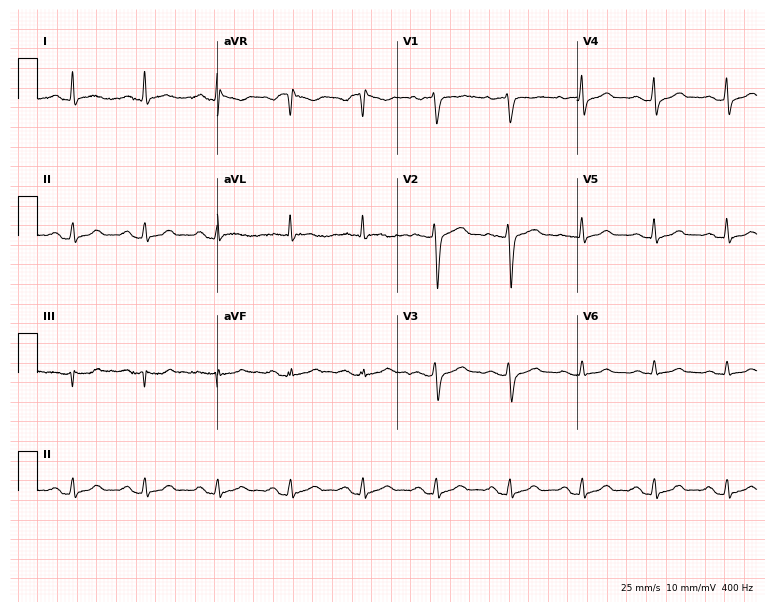
12-lead ECG from a woman, 43 years old. No first-degree AV block, right bundle branch block, left bundle branch block, sinus bradycardia, atrial fibrillation or sinus tachycardia recorded for this tracing.